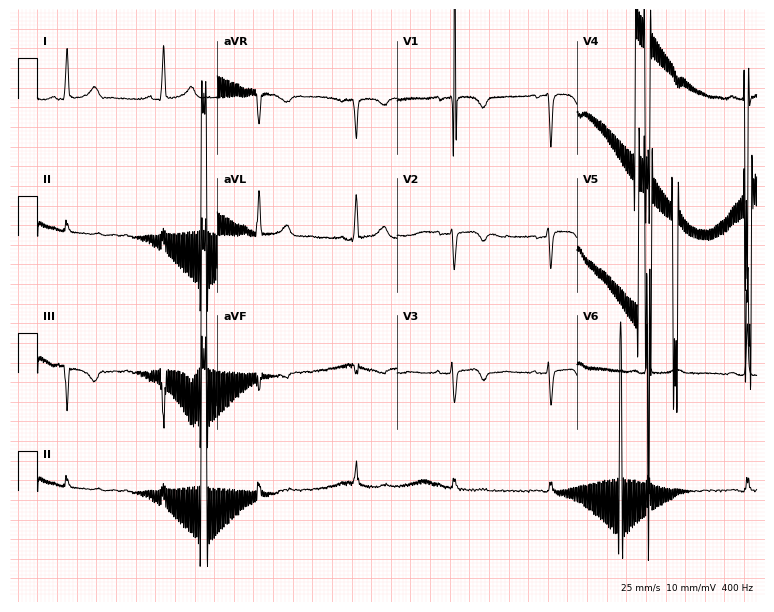
12-lead ECG (7.3-second recording at 400 Hz) from a woman, 67 years old. Screened for six findings — first-degree AV block, right bundle branch block, left bundle branch block, sinus bradycardia, atrial fibrillation, sinus tachycardia — none is recorded. Findings outside these six are not listed.